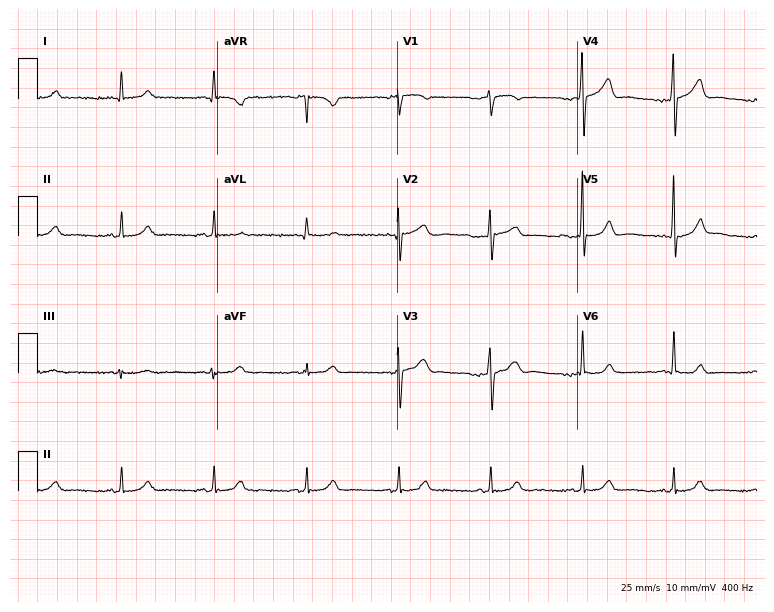
Standard 12-lead ECG recorded from a 68-year-old male (7.3-second recording at 400 Hz). Read as a normal ECG.